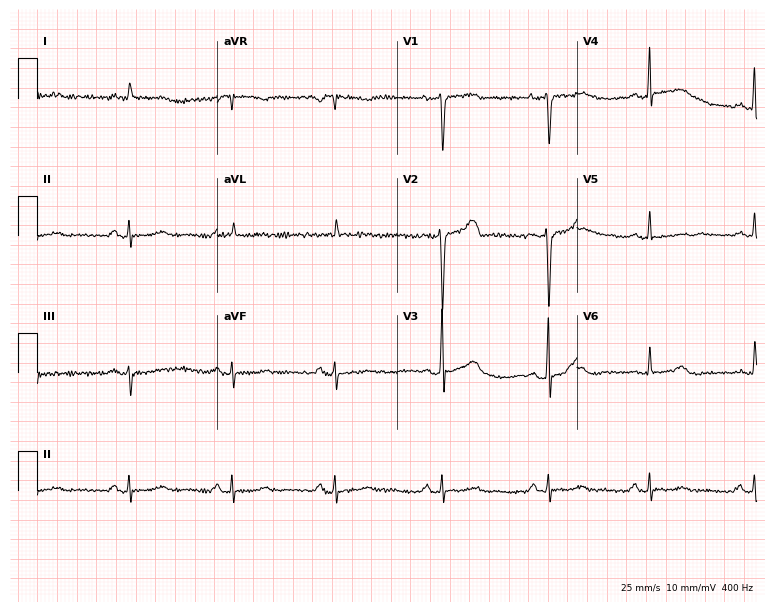
ECG — an 80-year-old male. Screened for six findings — first-degree AV block, right bundle branch block, left bundle branch block, sinus bradycardia, atrial fibrillation, sinus tachycardia — none is recorded. Findings outside these six are not listed.